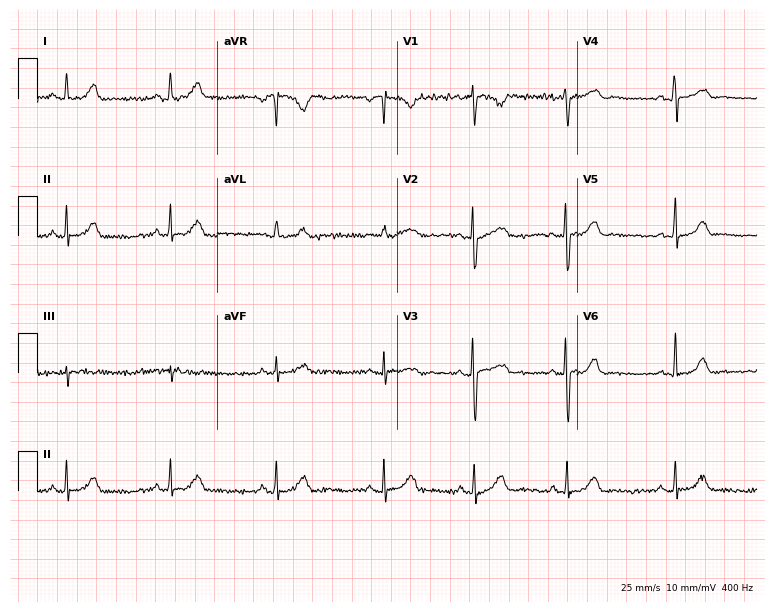
12-lead ECG from a woman, 20 years old. No first-degree AV block, right bundle branch block, left bundle branch block, sinus bradycardia, atrial fibrillation or sinus tachycardia recorded for this tracing. Findings outside these six are not listed.